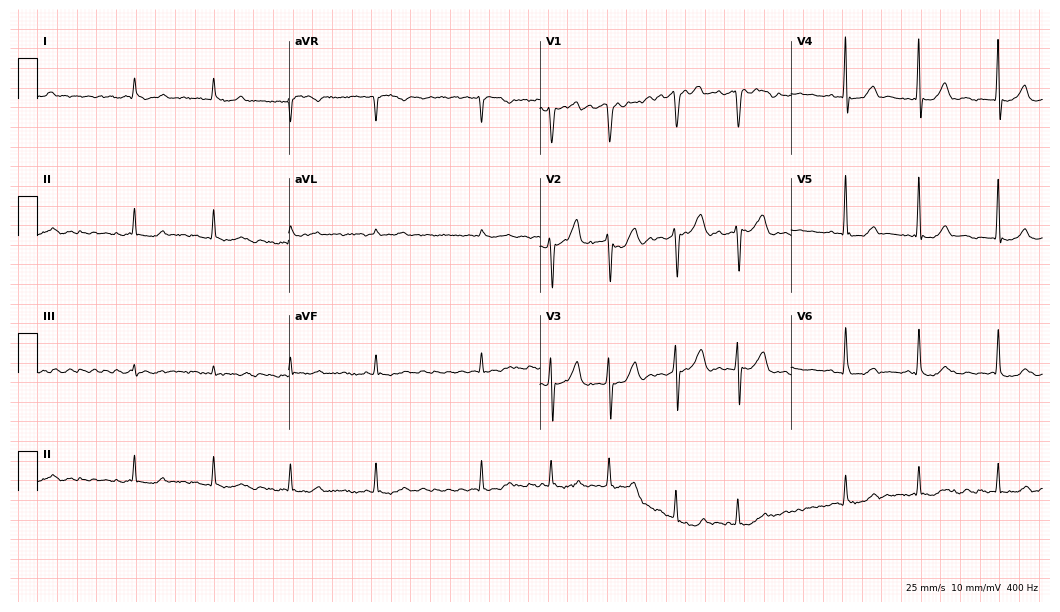
Resting 12-lead electrocardiogram. Patient: a male, 66 years old. The tracing shows atrial fibrillation.